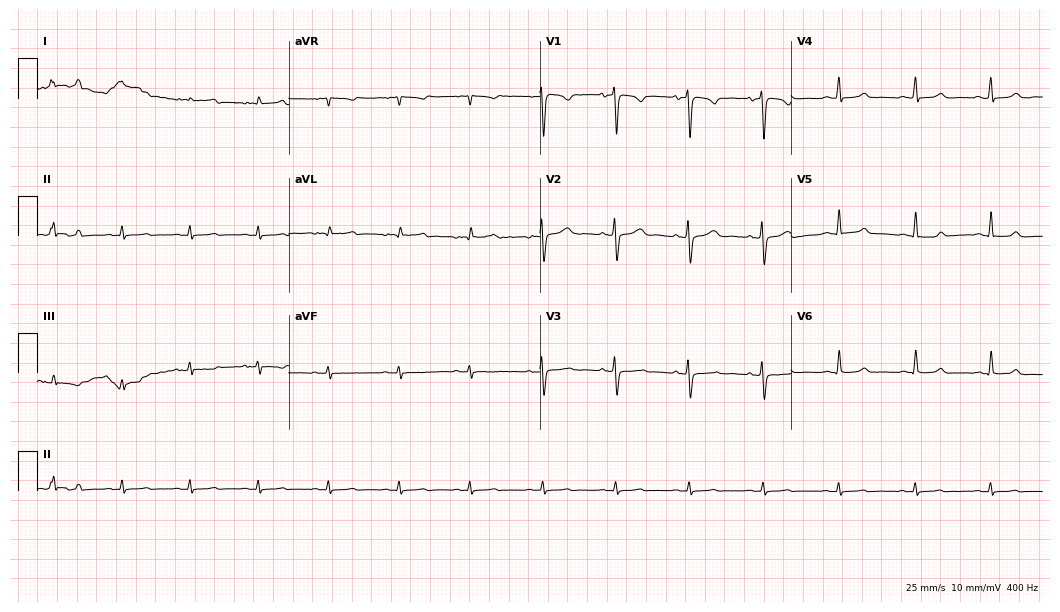
12-lead ECG (10.2-second recording at 400 Hz) from a female, 43 years old. Screened for six findings — first-degree AV block, right bundle branch block (RBBB), left bundle branch block (LBBB), sinus bradycardia, atrial fibrillation (AF), sinus tachycardia — none is recorded. Other findings, if any, are not listed.